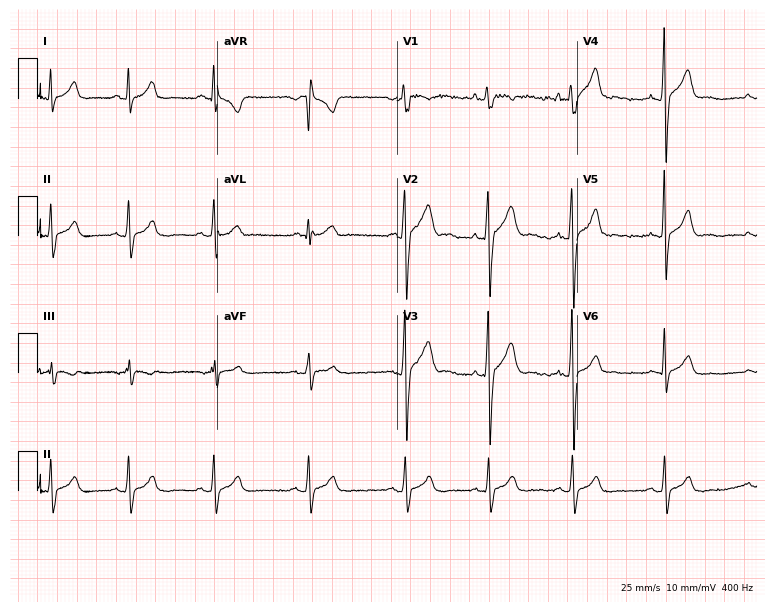
Resting 12-lead electrocardiogram (7.3-second recording at 400 Hz). Patient: a man, 17 years old. None of these six findings is recorded: first-degree AV block, right bundle branch block, left bundle branch block, sinus bradycardia, atrial fibrillation, sinus tachycardia. Findings outside these six are not listed.